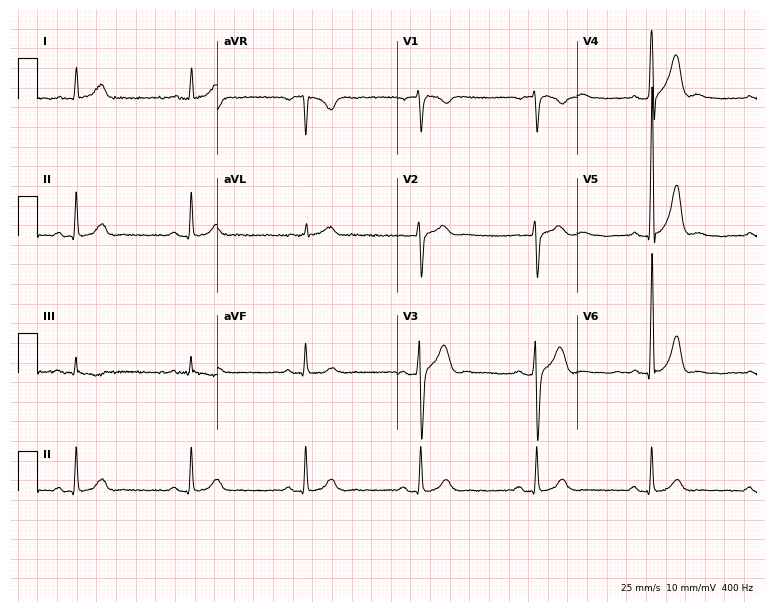
12-lead ECG from a 55-year-old male (7.3-second recording at 400 Hz). Recorded interpretation: within normal limits.